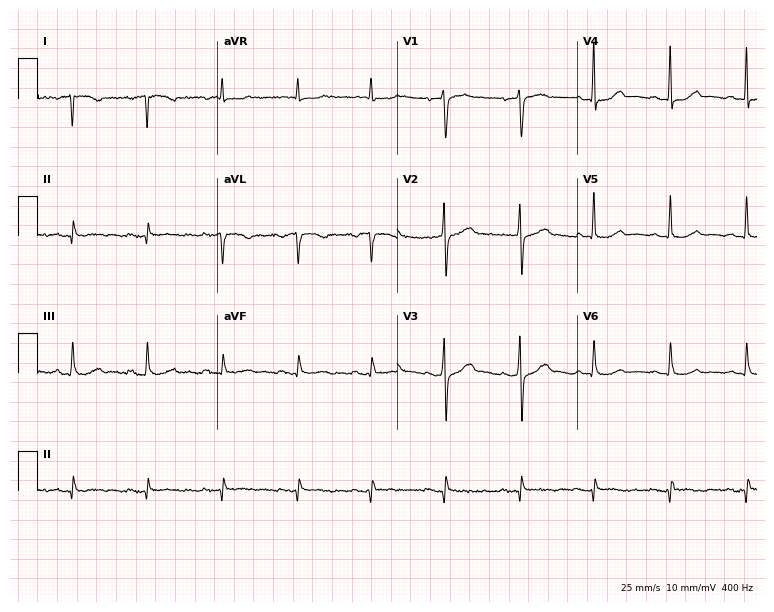
ECG (7.3-second recording at 400 Hz) — a 55-year-old woman. Screened for six findings — first-degree AV block, right bundle branch block, left bundle branch block, sinus bradycardia, atrial fibrillation, sinus tachycardia — none is recorded.